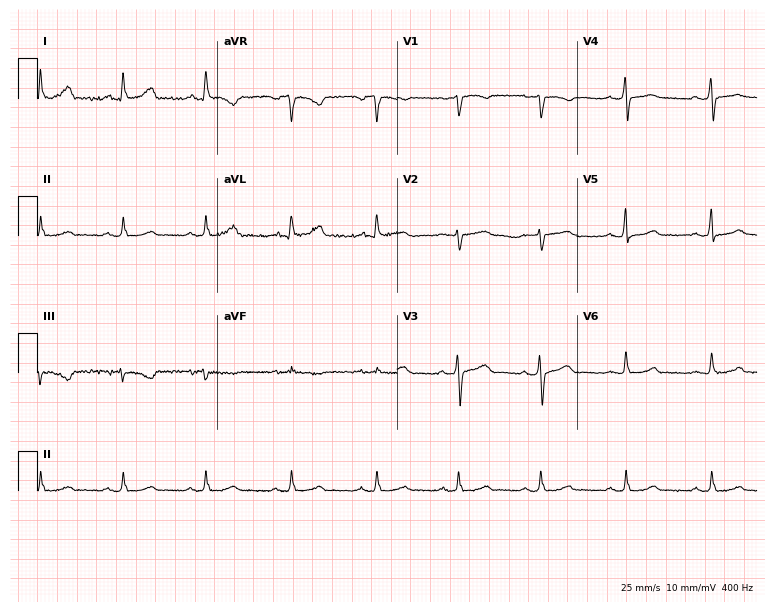
12-lead ECG from a female patient, 31 years old. Labelled as a normal ECG.